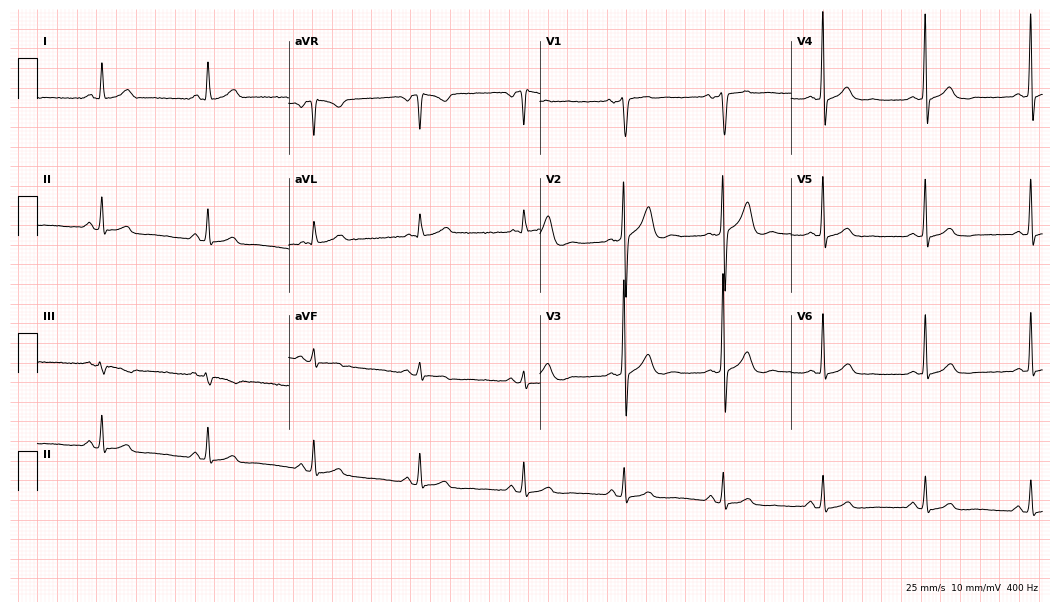
Resting 12-lead electrocardiogram. Patient: a 45-year-old male. Read as a normal ECG.